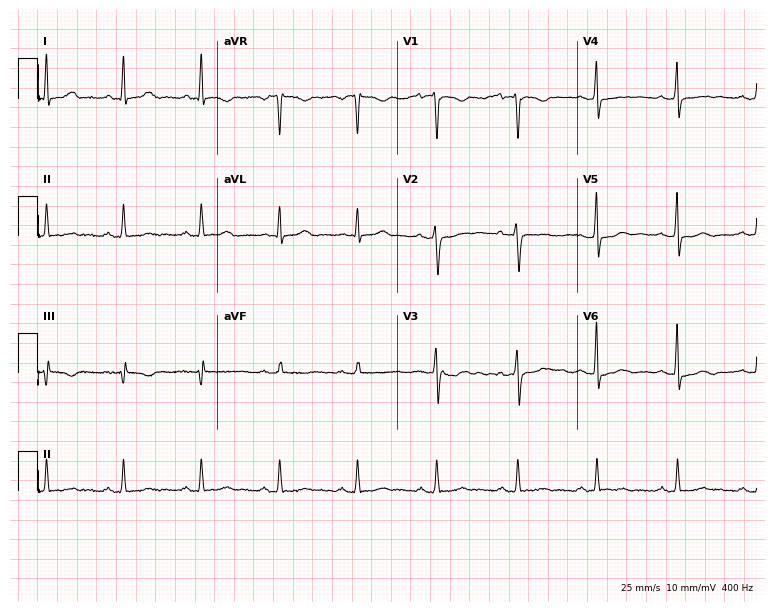
12-lead ECG (7.3-second recording at 400 Hz) from a 36-year-old woman. Screened for six findings — first-degree AV block, right bundle branch block, left bundle branch block, sinus bradycardia, atrial fibrillation, sinus tachycardia — none is recorded. Other findings, if any, are not listed.